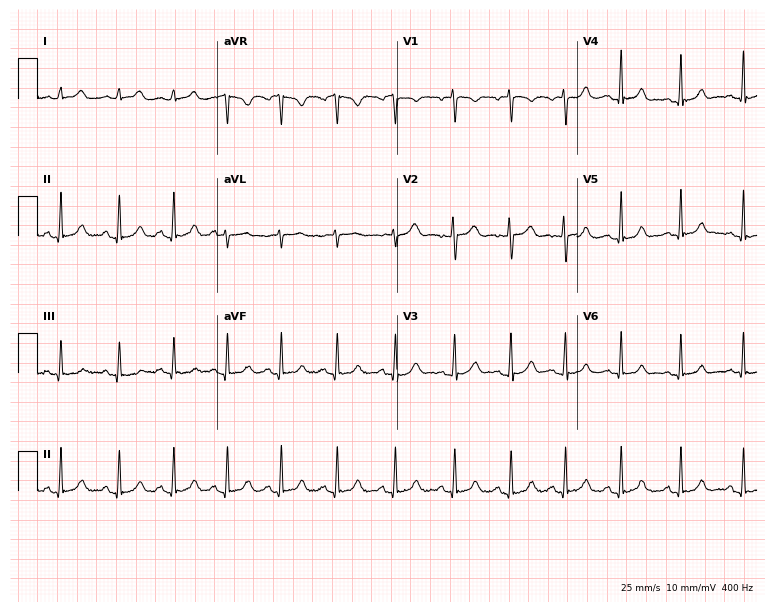
Resting 12-lead electrocardiogram (7.3-second recording at 400 Hz). Patient: a 19-year-old woman. The tracing shows sinus tachycardia (a sinus rate of 100 beats per minute or more).